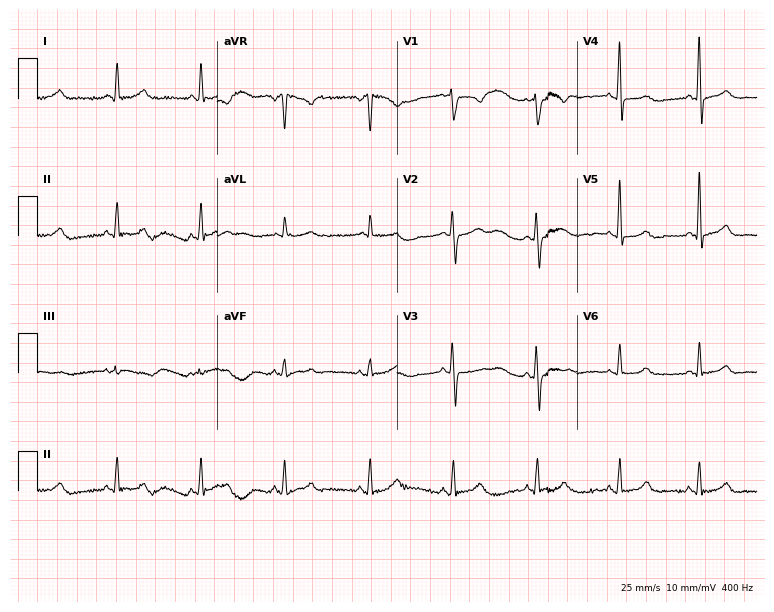
12-lead ECG from a 64-year-old female patient. Screened for six findings — first-degree AV block, right bundle branch block, left bundle branch block, sinus bradycardia, atrial fibrillation, sinus tachycardia — none is recorded. Only these six findings were labelled.